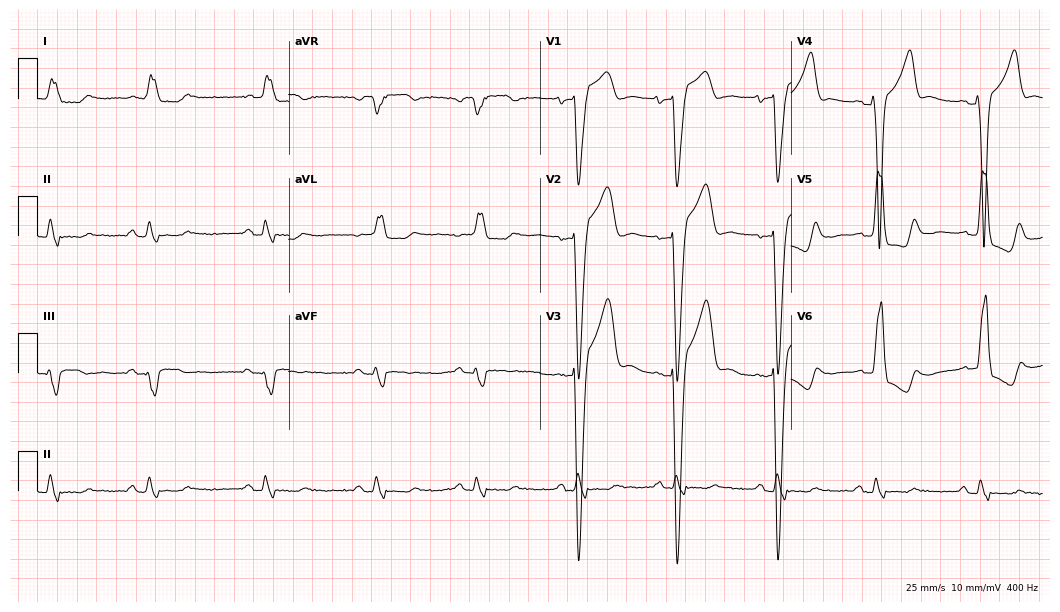
Resting 12-lead electrocardiogram. Patient: an 80-year-old male. The tracing shows left bundle branch block (LBBB).